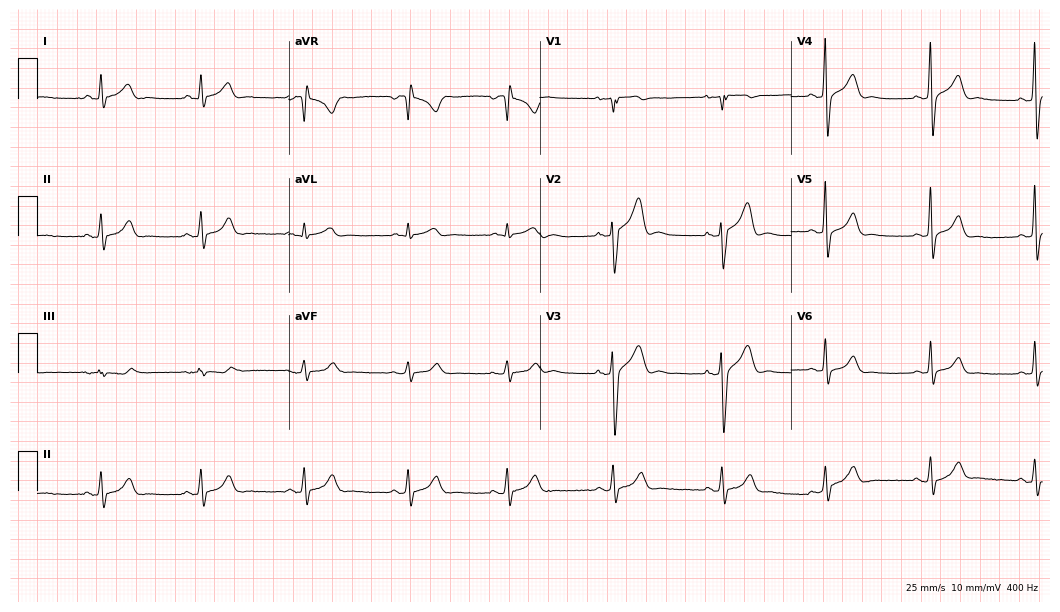
12-lead ECG from a man, 50 years old (10.2-second recording at 400 Hz). No first-degree AV block, right bundle branch block, left bundle branch block, sinus bradycardia, atrial fibrillation or sinus tachycardia recorded for this tracing. Only these six findings were labelled.